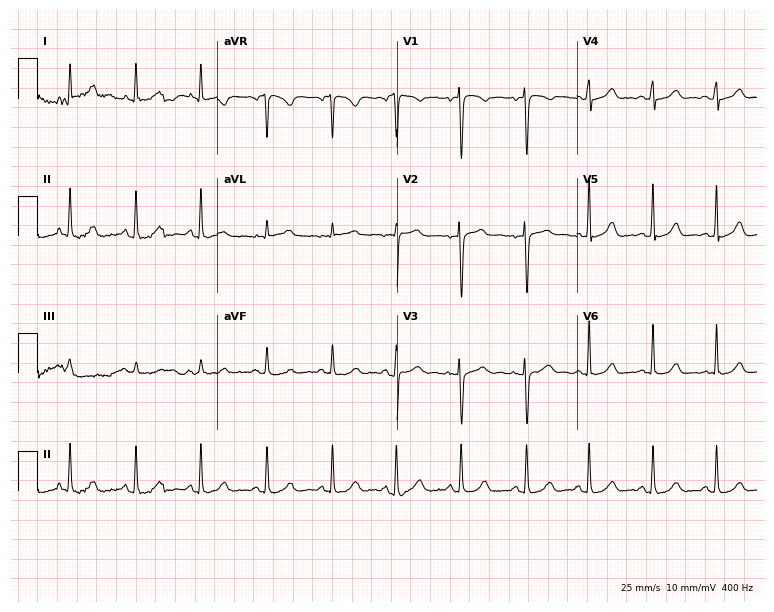
12-lead ECG from a woman, 34 years old. Recorded interpretation: within normal limits.